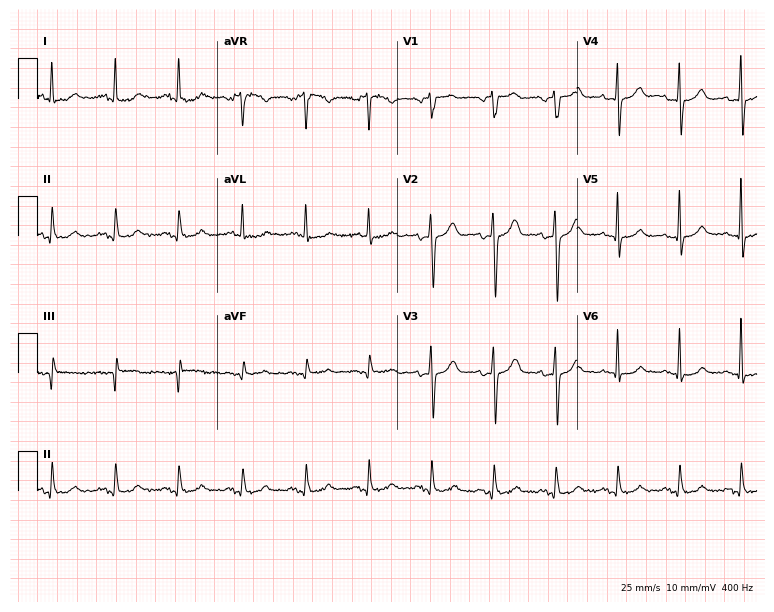
12-lead ECG (7.3-second recording at 400 Hz) from a 70-year-old man. Labelled as a normal ECG.